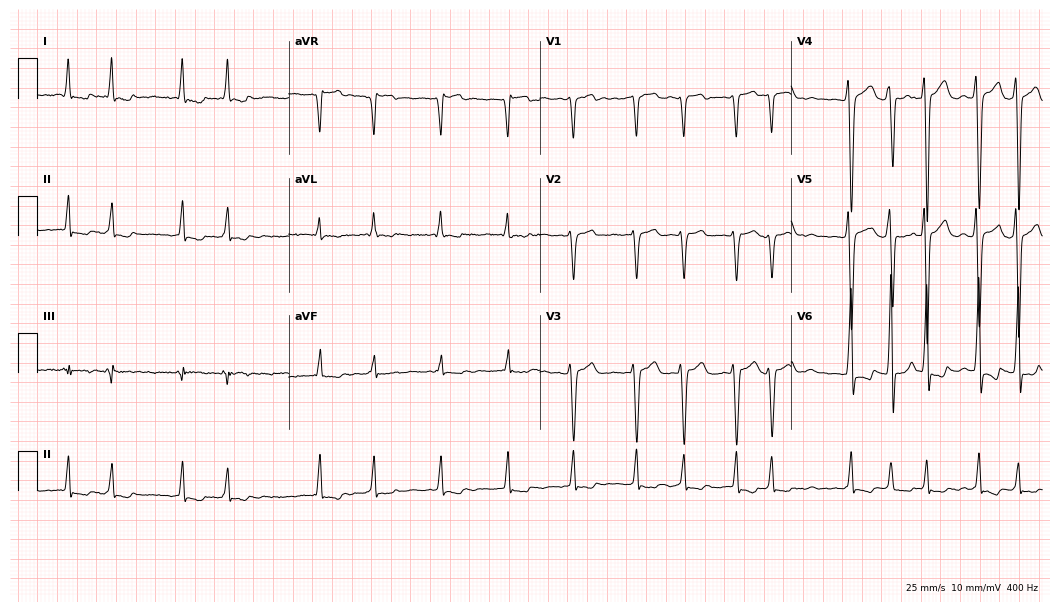
ECG (10.2-second recording at 400 Hz) — a male patient, 67 years old. Findings include atrial fibrillation.